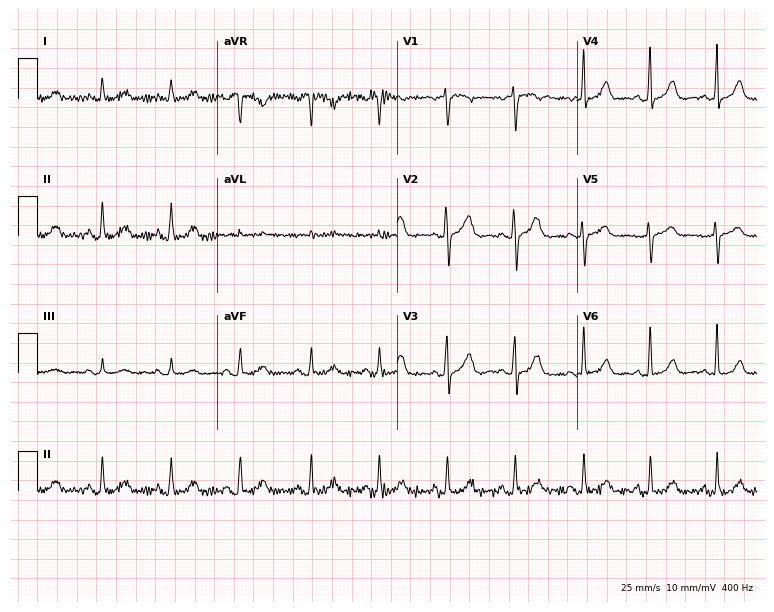
Resting 12-lead electrocardiogram. Patient: a female, 59 years old. Read as a normal ECG.